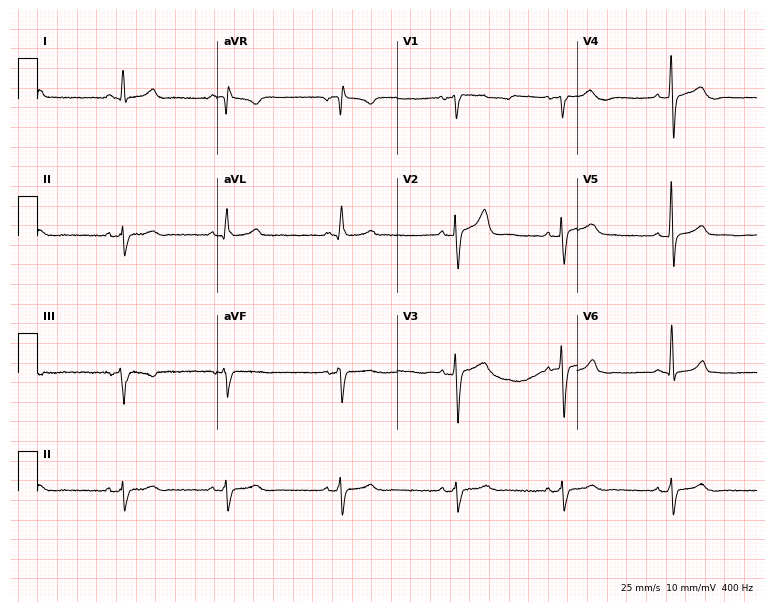
Standard 12-lead ECG recorded from a male patient, 50 years old (7.3-second recording at 400 Hz). None of these six findings is recorded: first-degree AV block, right bundle branch block (RBBB), left bundle branch block (LBBB), sinus bradycardia, atrial fibrillation (AF), sinus tachycardia.